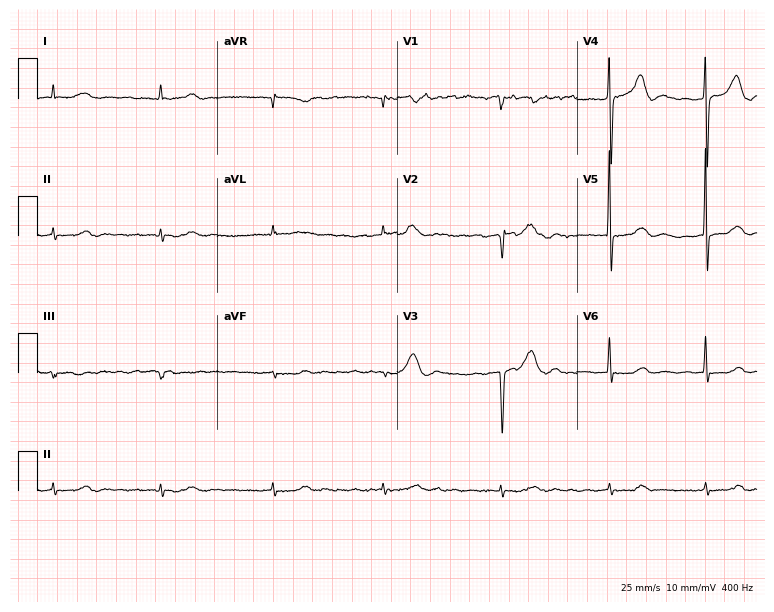
ECG (7.3-second recording at 400 Hz) — a female patient, 85 years old. Findings include atrial fibrillation.